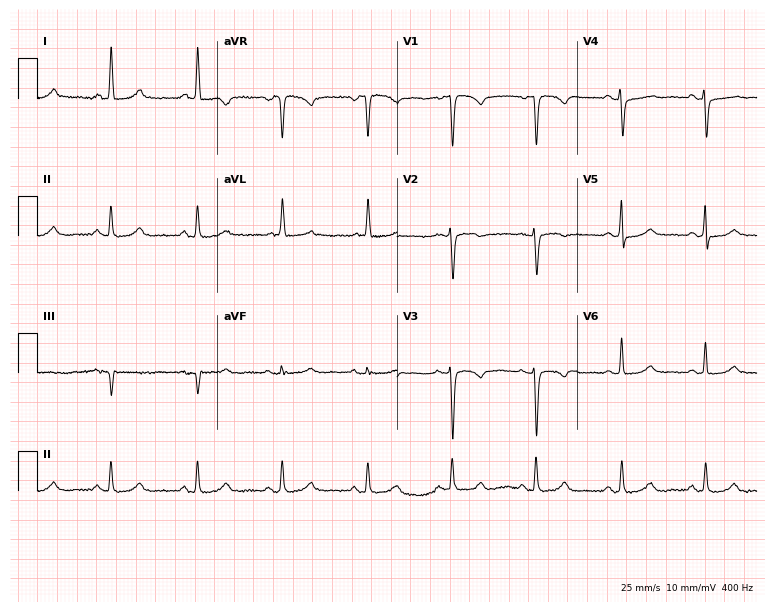
Resting 12-lead electrocardiogram. Patient: a woman, 65 years old. Read as a normal ECG.